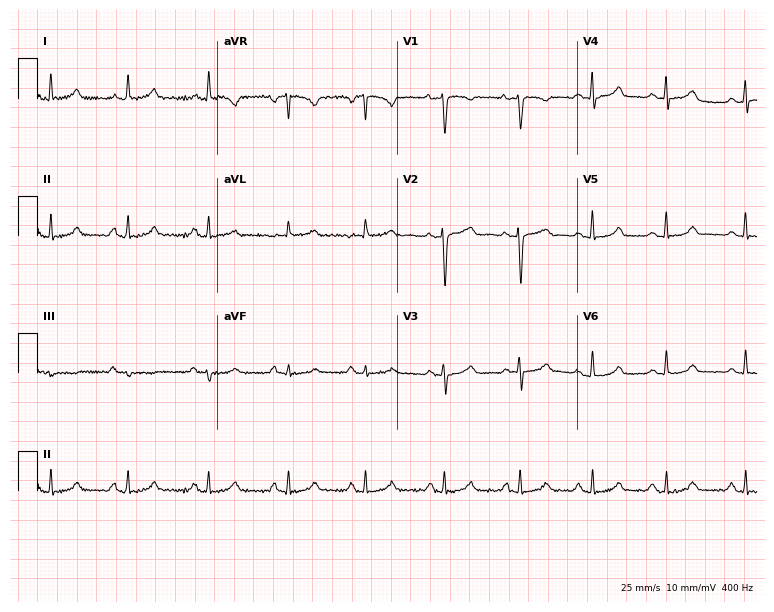
ECG (7.3-second recording at 400 Hz) — a 44-year-old female patient. Screened for six findings — first-degree AV block, right bundle branch block, left bundle branch block, sinus bradycardia, atrial fibrillation, sinus tachycardia — none is recorded.